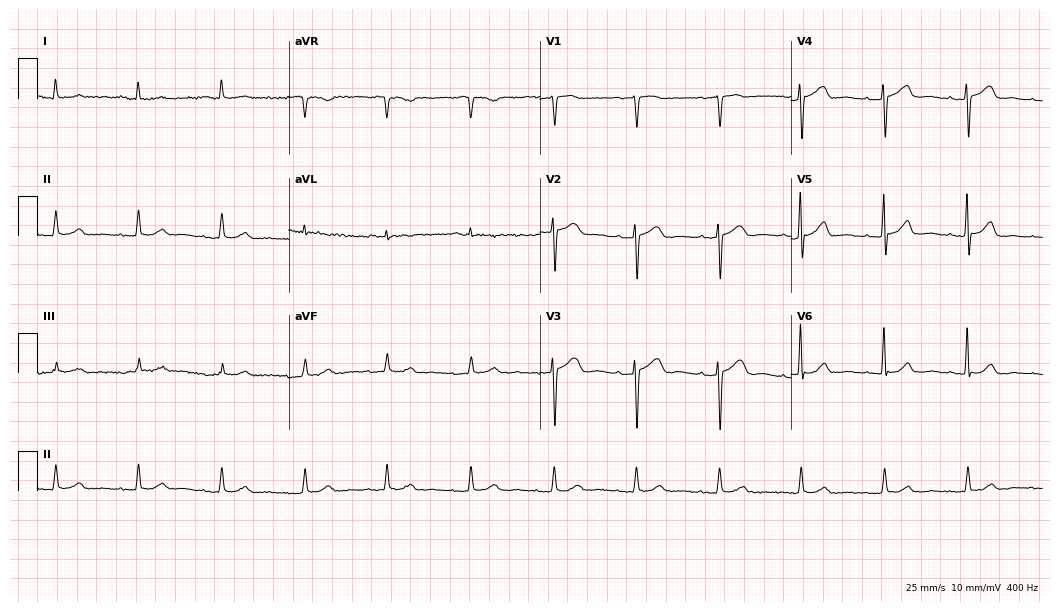
Standard 12-lead ECG recorded from an 84-year-old female (10.2-second recording at 400 Hz). Read as a normal ECG.